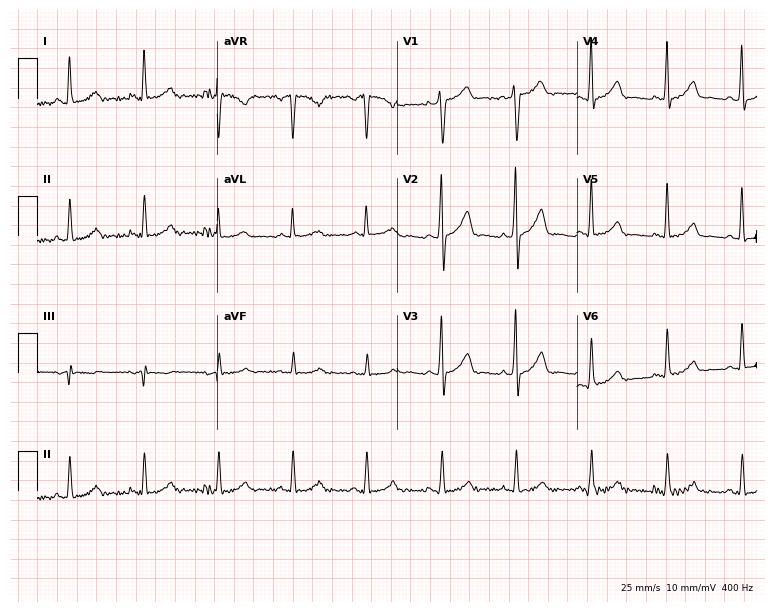
ECG — a 65-year-old male. Screened for six findings — first-degree AV block, right bundle branch block, left bundle branch block, sinus bradycardia, atrial fibrillation, sinus tachycardia — none is recorded. Only these six findings were labelled.